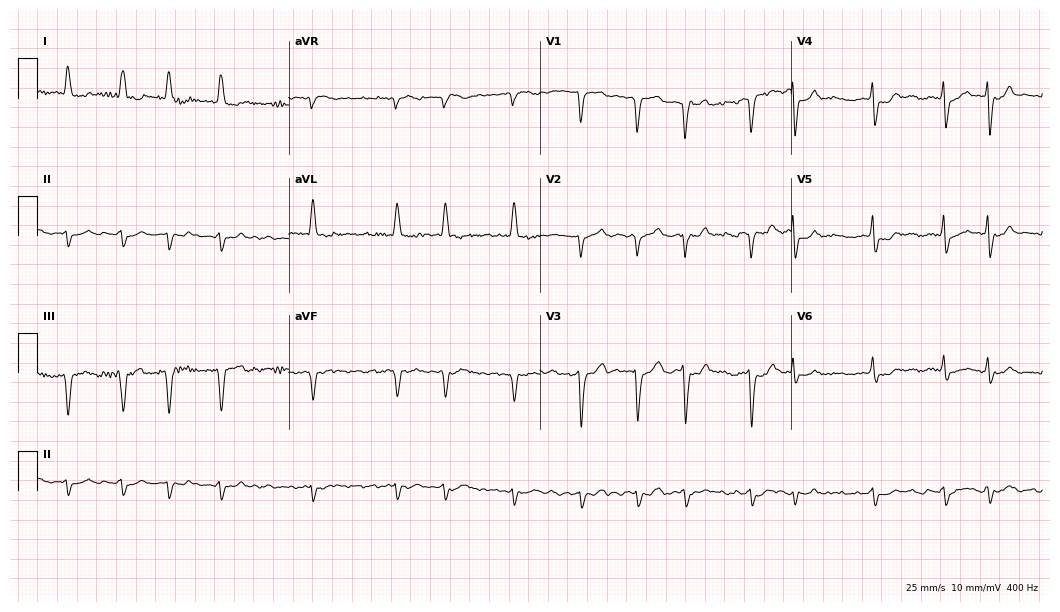
12-lead ECG from a 72-year-old woman. Findings include atrial fibrillation.